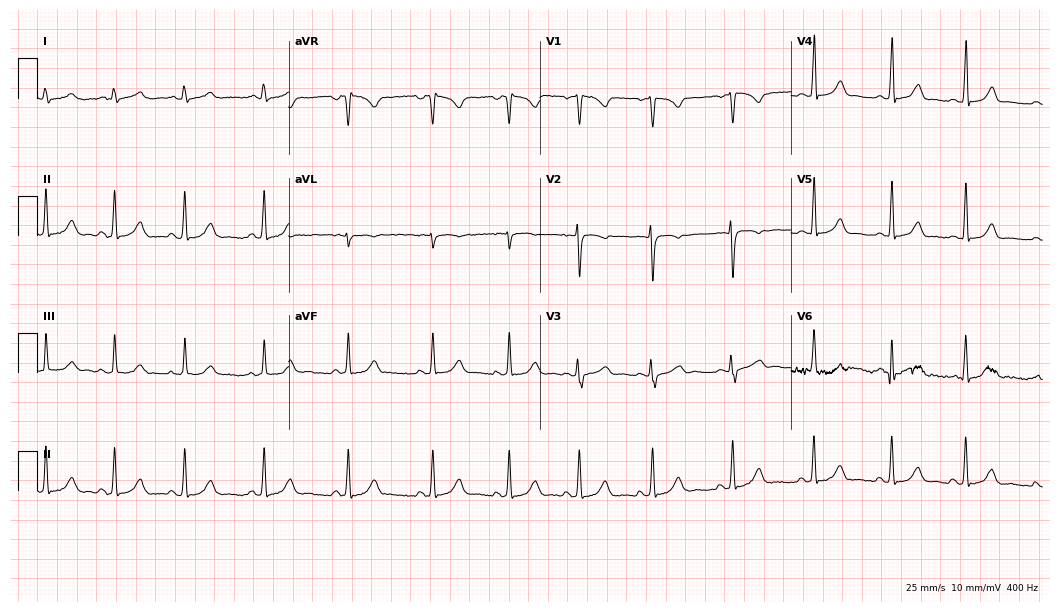
Electrocardiogram, a woman, 20 years old. Overall reading on record: normal ECG.